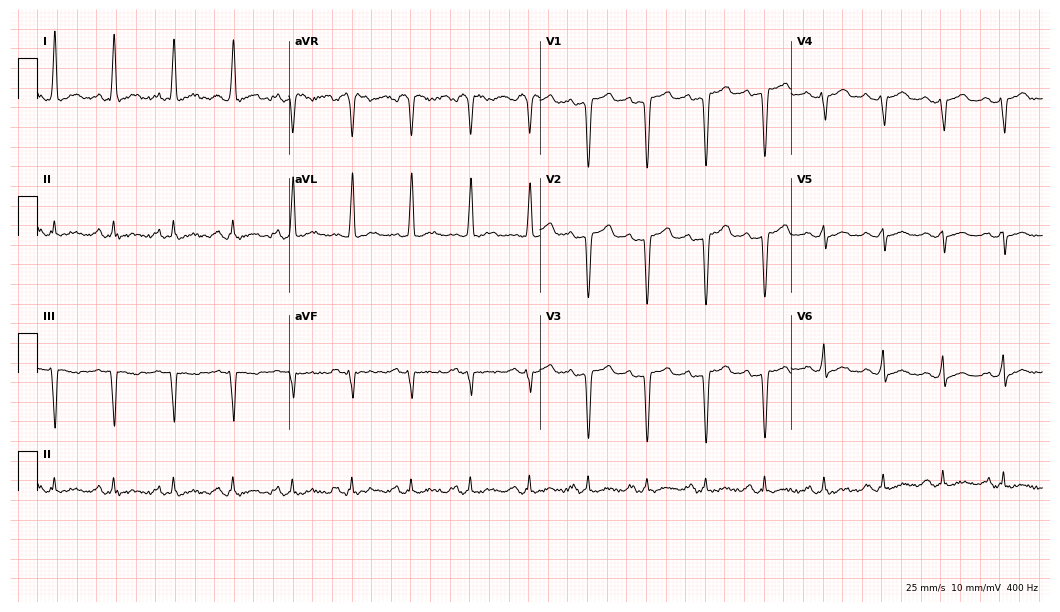
12-lead ECG (10.2-second recording at 400 Hz) from a man, 40 years old. Screened for six findings — first-degree AV block, right bundle branch block, left bundle branch block, sinus bradycardia, atrial fibrillation, sinus tachycardia — none is recorded.